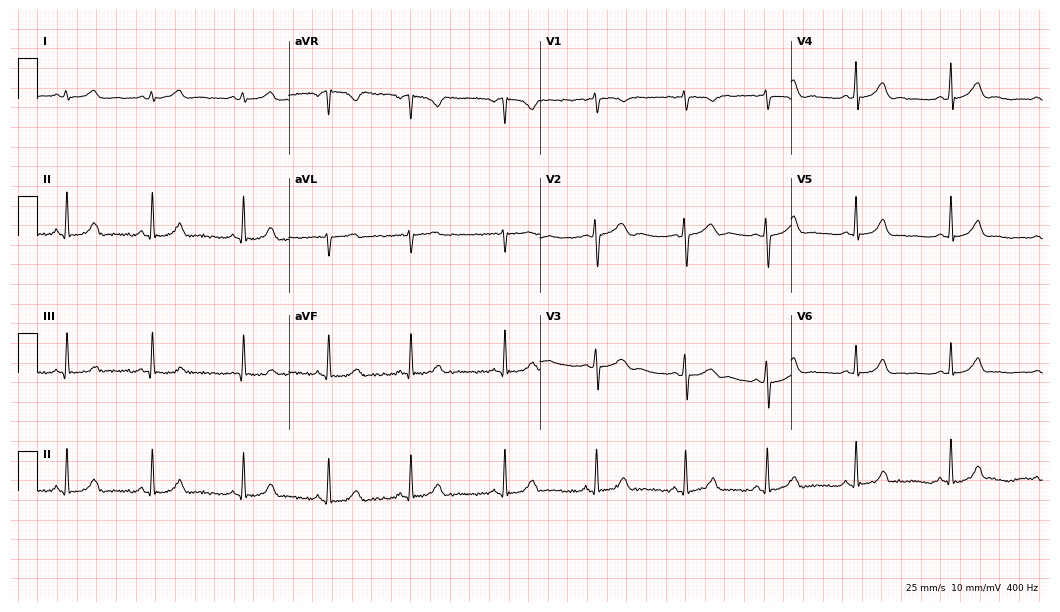
Standard 12-lead ECG recorded from a 17-year-old woman (10.2-second recording at 400 Hz). Read as a normal ECG.